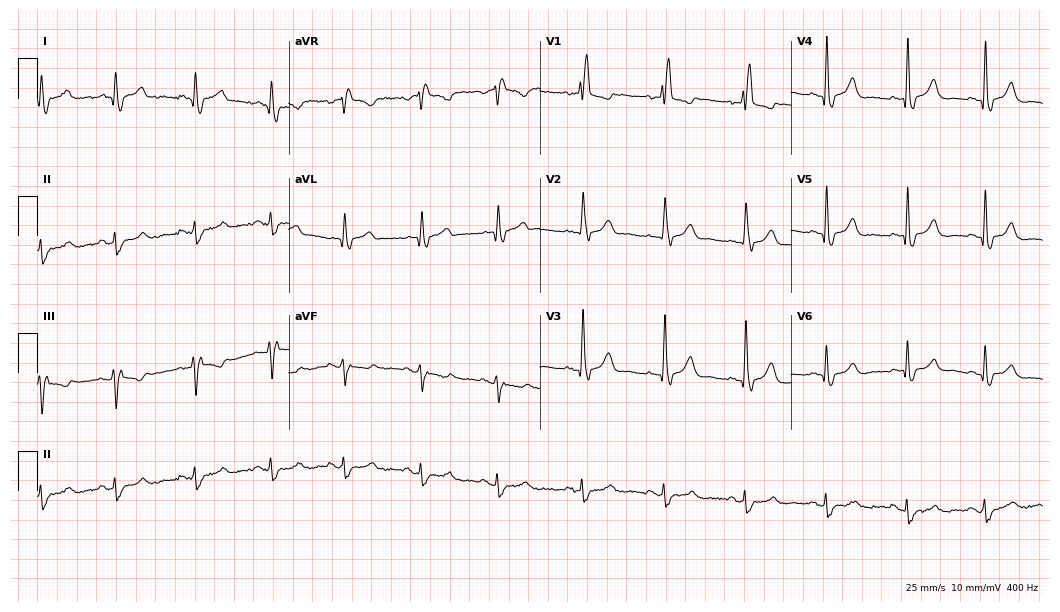
12-lead ECG from a man, 53 years old. Screened for six findings — first-degree AV block, right bundle branch block, left bundle branch block, sinus bradycardia, atrial fibrillation, sinus tachycardia — none is recorded.